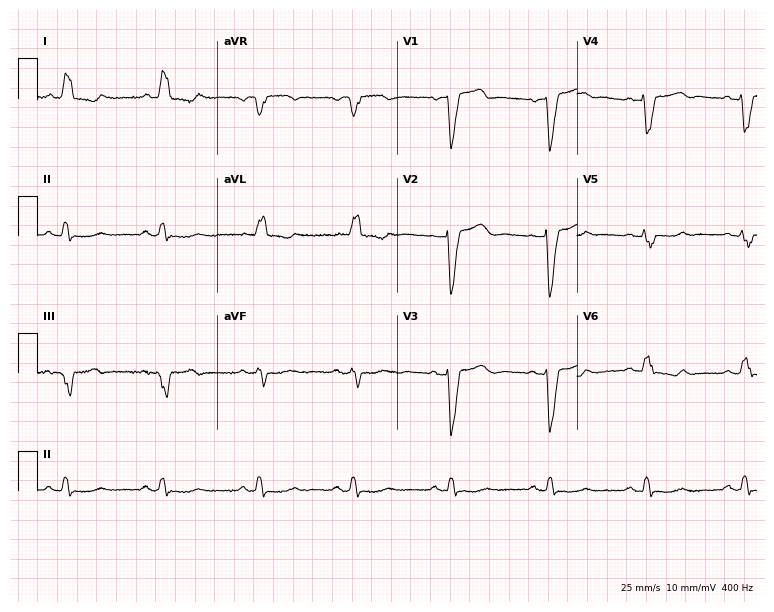
Electrocardiogram, a female, 65 years old. Interpretation includes left bundle branch block.